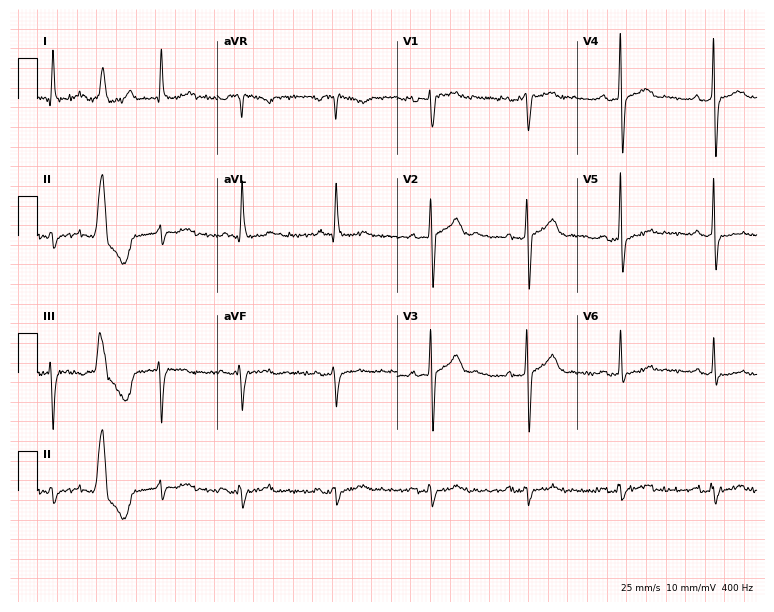
12-lead ECG (7.3-second recording at 400 Hz) from a man, 67 years old. Screened for six findings — first-degree AV block, right bundle branch block, left bundle branch block, sinus bradycardia, atrial fibrillation, sinus tachycardia — none is recorded.